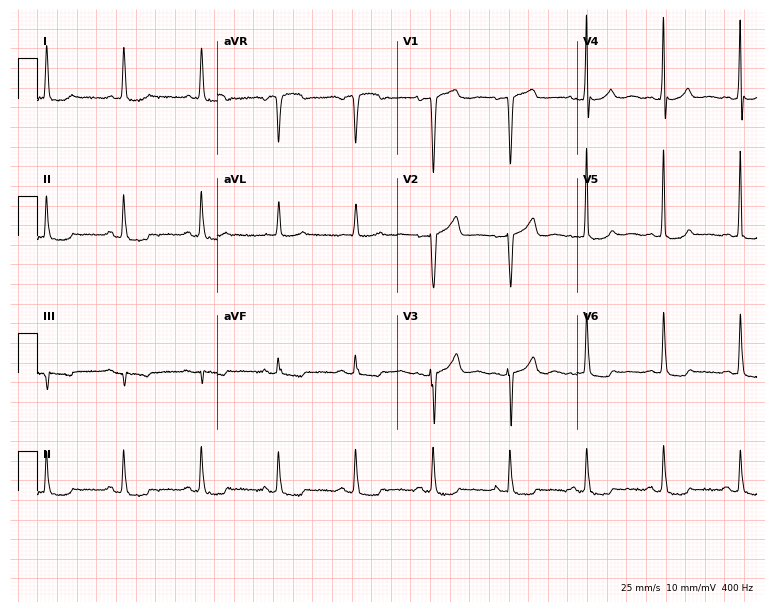
ECG — a female patient, 79 years old. Screened for six findings — first-degree AV block, right bundle branch block, left bundle branch block, sinus bradycardia, atrial fibrillation, sinus tachycardia — none is recorded. Findings outside these six are not listed.